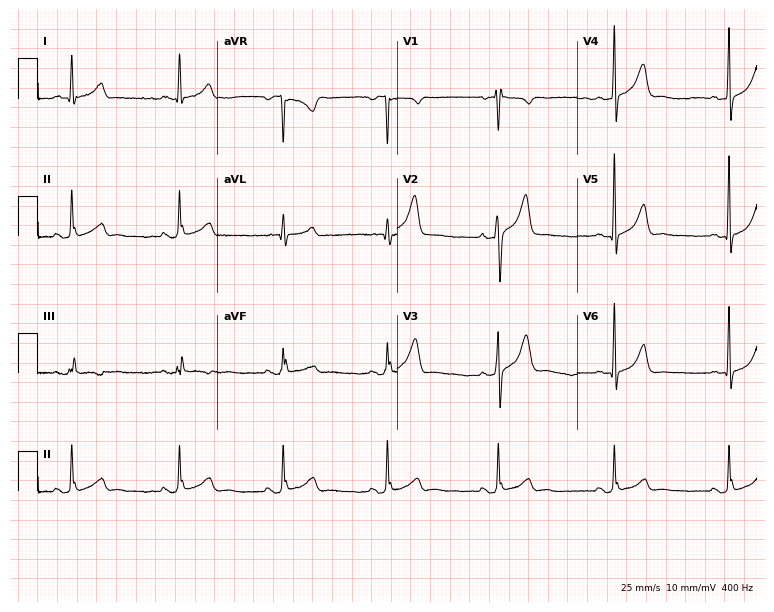
Standard 12-lead ECG recorded from a 51-year-old man. None of these six findings is recorded: first-degree AV block, right bundle branch block (RBBB), left bundle branch block (LBBB), sinus bradycardia, atrial fibrillation (AF), sinus tachycardia.